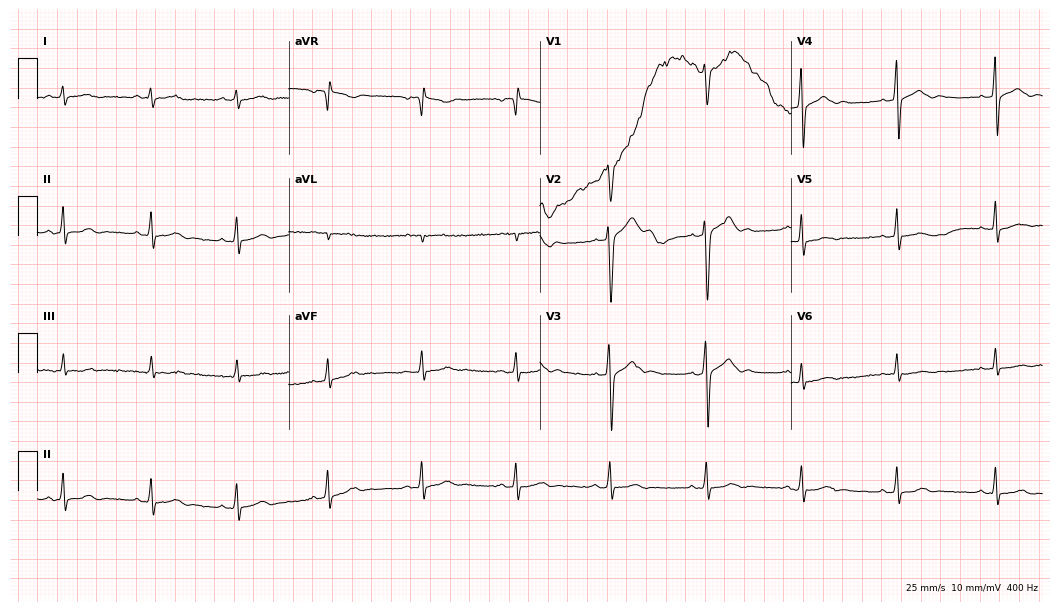
ECG — a male patient, 25 years old. Screened for six findings — first-degree AV block, right bundle branch block, left bundle branch block, sinus bradycardia, atrial fibrillation, sinus tachycardia — none is recorded.